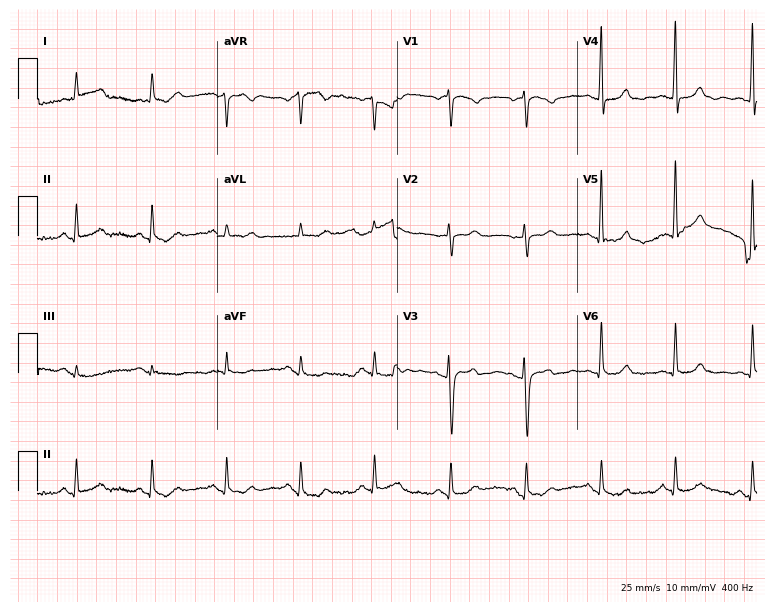
Electrocardiogram (7.3-second recording at 400 Hz), a 63-year-old female. Of the six screened findings (first-degree AV block, right bundle branch block (RBBB), left bundle branch block (LBBB), sinus bradycardia, atrial fibrillation (AF), sinus tachycardia), none is recorded. Other findings, if any, are not listed.